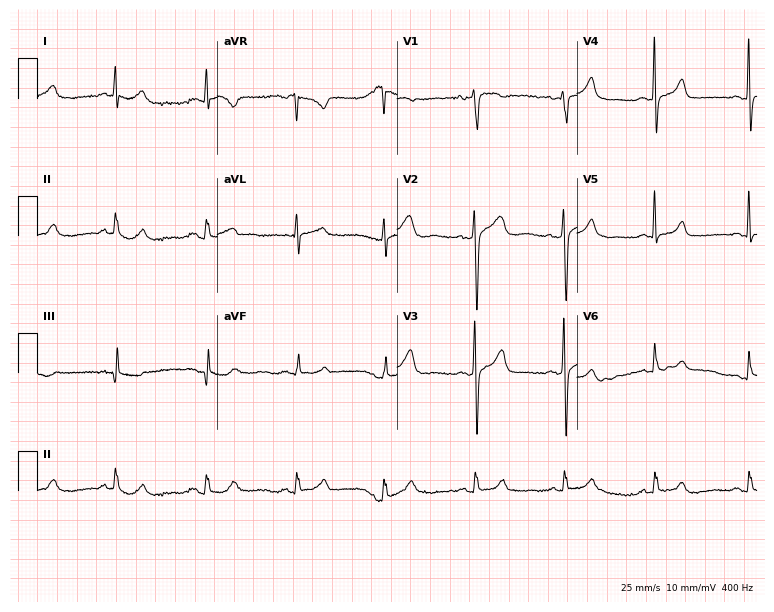
12-lead ECG (7.3-second recording at 400 Hz) from a 58-year-old female patient. Labelled as a normal ECG.